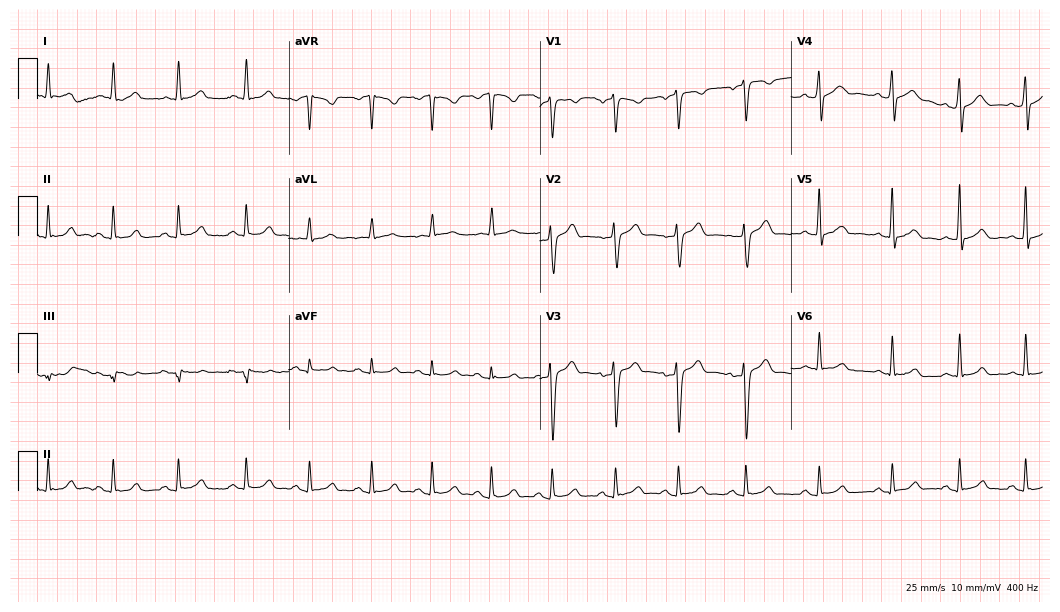
Standard 12-lead ECG recorded from a man, 33 years old. Read as a normal ECG.